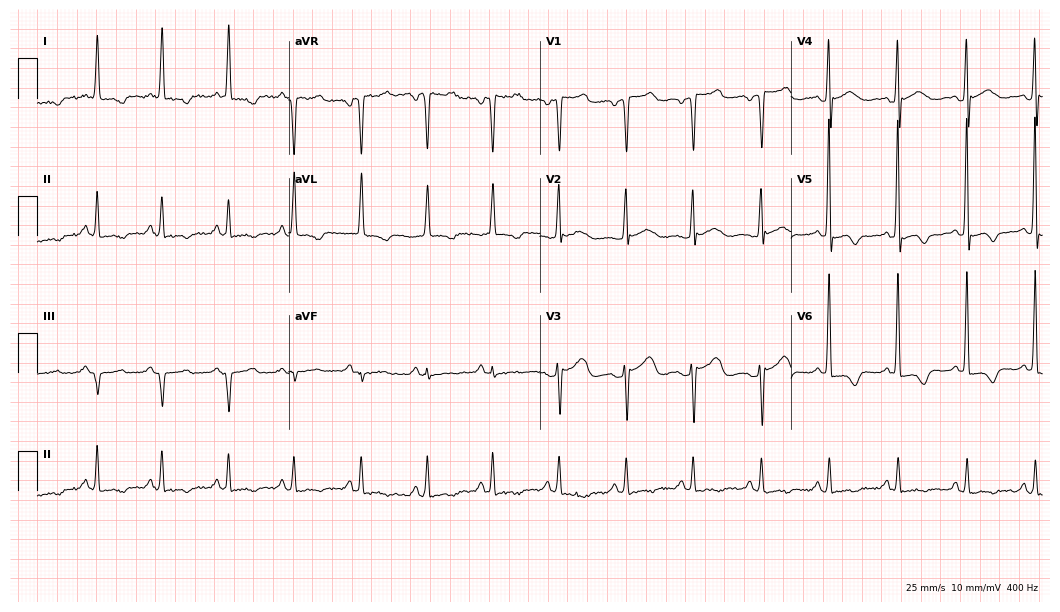
Resting 12-lead electrocardiogram (10.2-second recording at 400 Hz). Patient: a female, 64 years old. None of these six findings is recorded: first-degree AV block, right bundle branch block, left bundle branch block, sinus bradycardia, atrial fibrillation, sinus tachycardia.